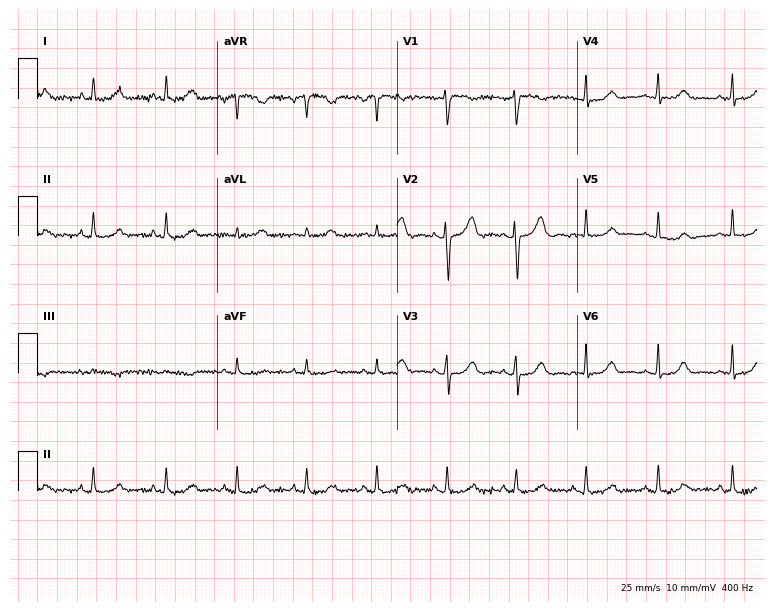
Resting 12-lead electrocardiogram. Patient: a 47-year-old female. Read as a normal ECG.